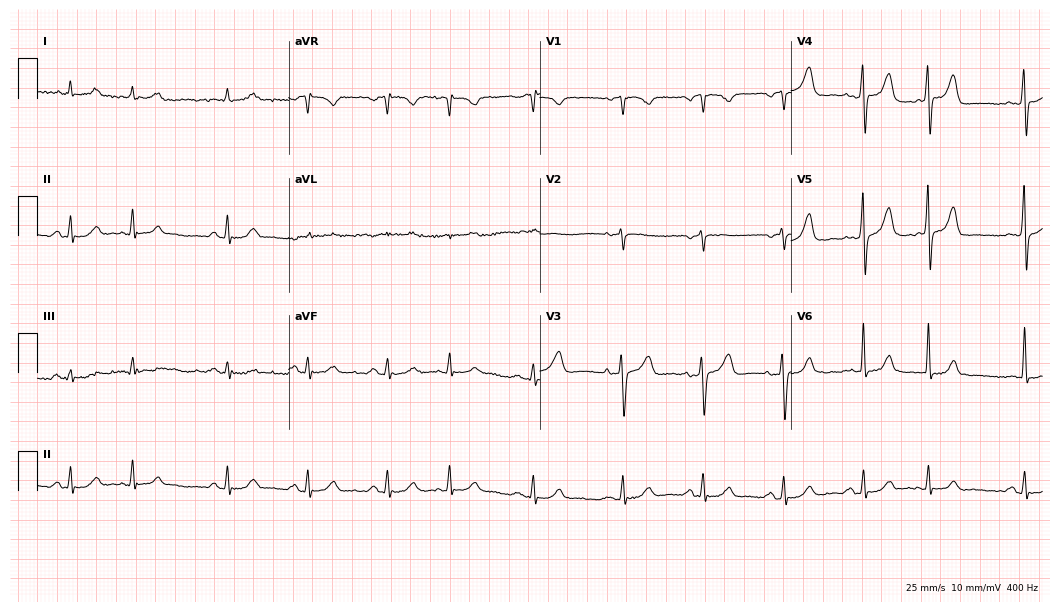
Resting 12-lead electrocardiogram. Patient: a male, 82 years old. None of these six findings is recorded: first-degree AV block, right bundle branch block, left bundle branch block, sinus bradycardia, atrial fibrillation, sinus tachycardia.